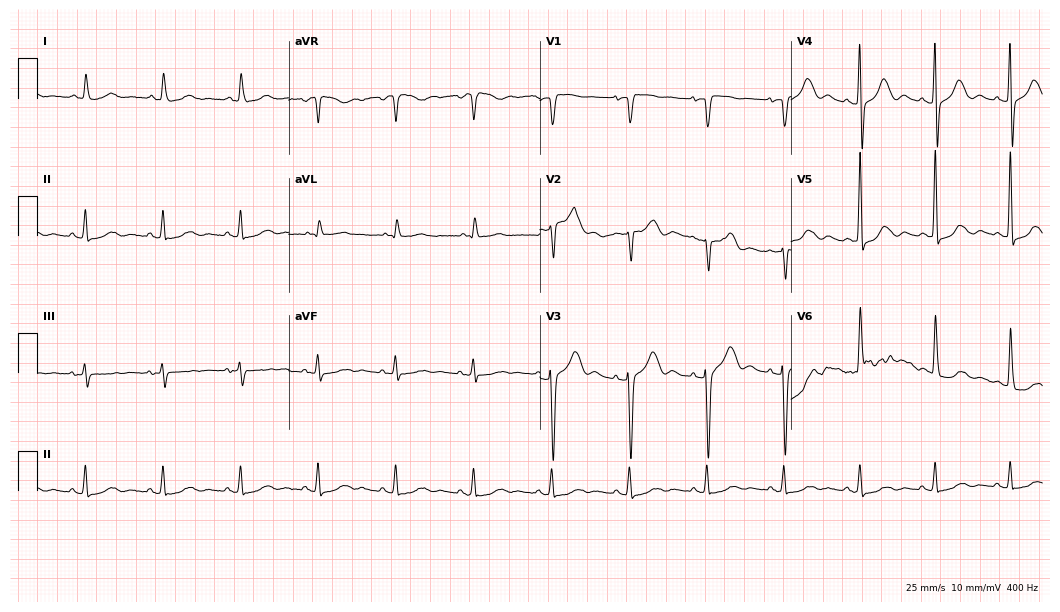
12-lead ECG (10.2-second recording at 400 Hz) from a male patient, 85 years old. Screened for six findings — first-degree AV block, right bundle branch block, left bundle branch block, sinus bradycardia, atrial fibrillation, sinus tachycardia — none is recorded. Only these six findings were labelled.